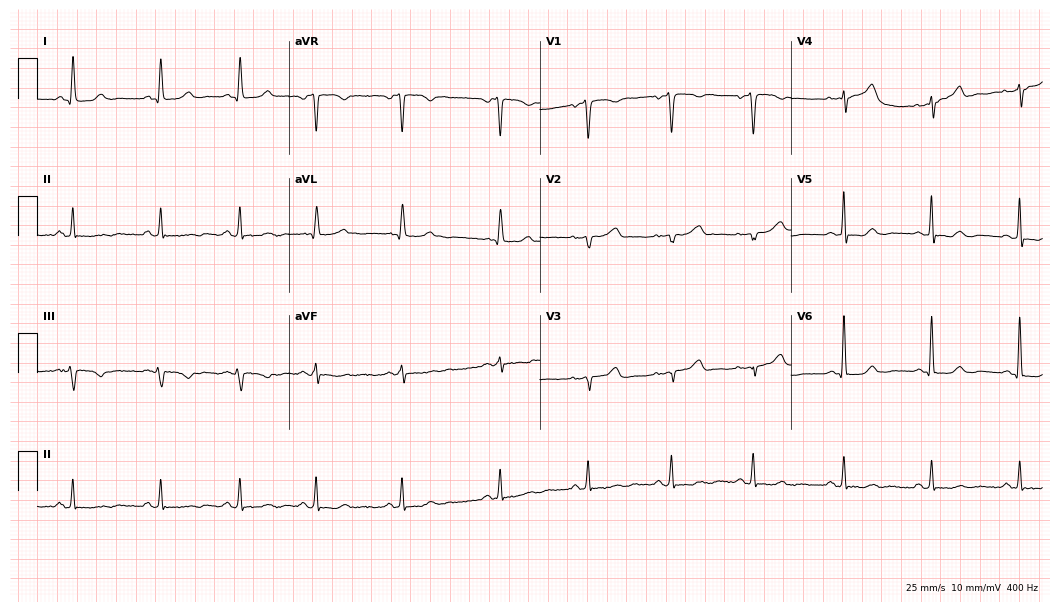
ECG (10.2-second recording at 400 Hz) — a 59-year-old woman. Screened for six findings — first-degree AV block, right bundle branch block, left bundle branch block, sinus bradycardia, atrial fibrillation, sinus tachycardia — none is recorded.